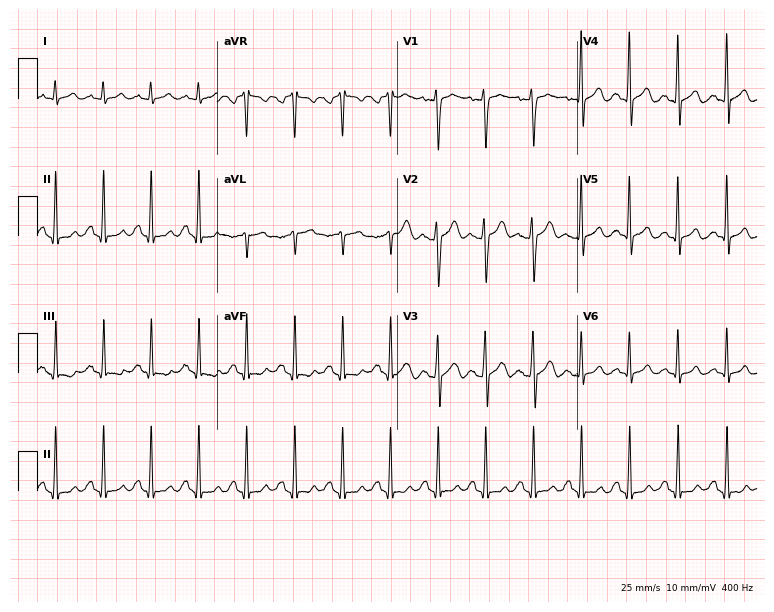
ECG — a woman, 24 years old. Findings include sinus tachycardia (a sinus rate of 100 beats per minute or more).